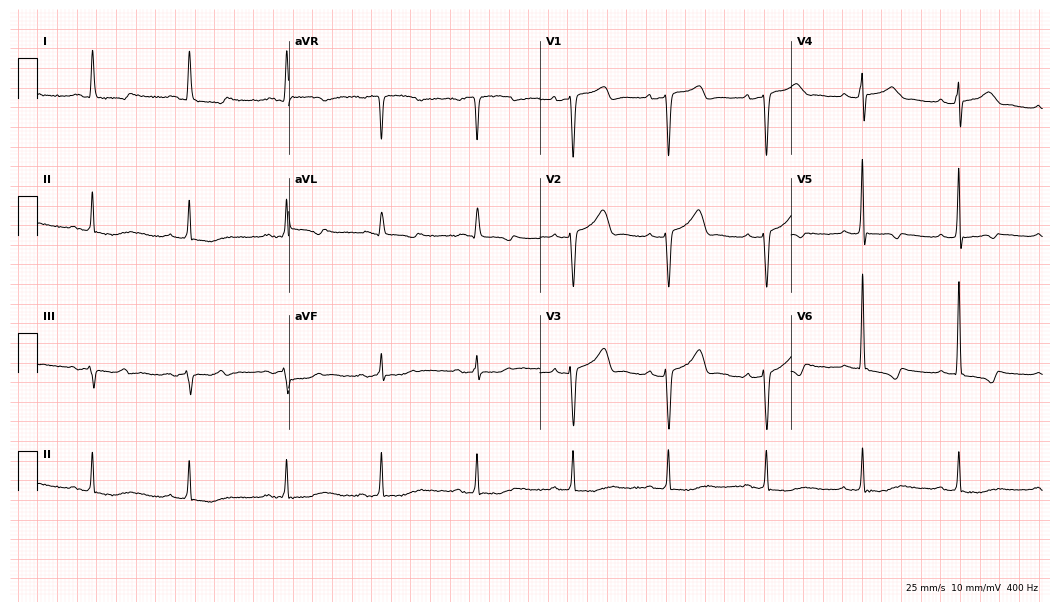
Resting 12-lead electrocardiogram (10.2-second recording at 400 Hz). Patient: a woman, 64 years old. None of these six findings is recorded: first-degree AV block, right bundle branch block, left bundle branch block, sinus bradycardia, atrial fibrillation, sinus tachycardia. Other findings, if any, are not listed.